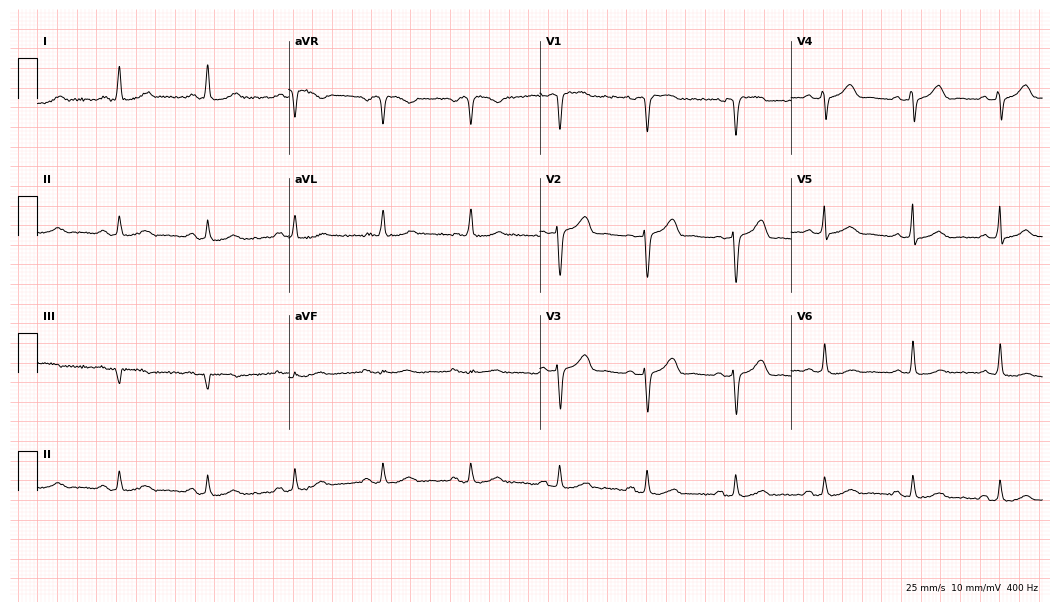
Electrocardiogram (10.2-second recording at 400 Hz), a woman, 64 years old. Of the six screened findings (first-degree AV block, right bundle branch block (RBBB), left bundle branch block (LBBB), sinus bradycardia, atrial fibrillation (AF), sinus tachycardia), none is recorded. Findings outside these six are not listed.